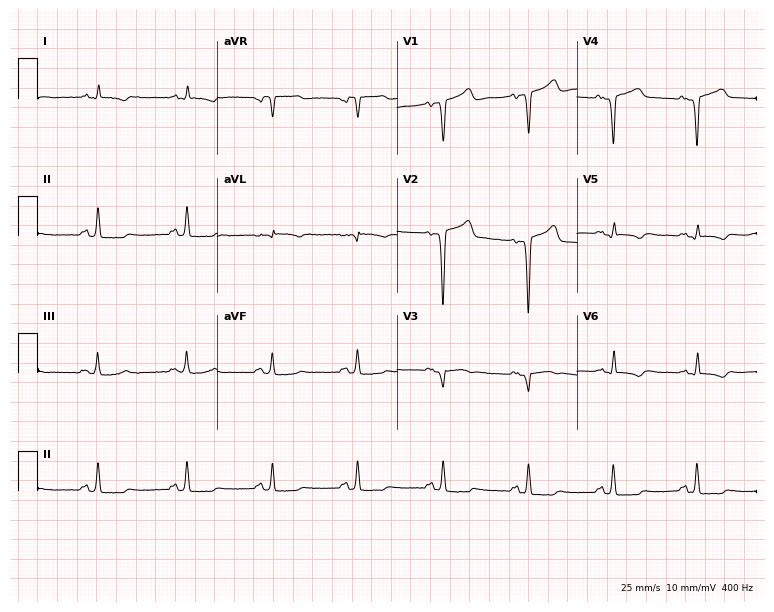
ECG (7.3-second recording at 400 Hz) — a 37-year-old man. Screened for six findings — first-degree AV block, right bundle branch block, left bundle branch block, sinus bradycardia, atrial fibrillation, sinus tachycardia — none is recorded.